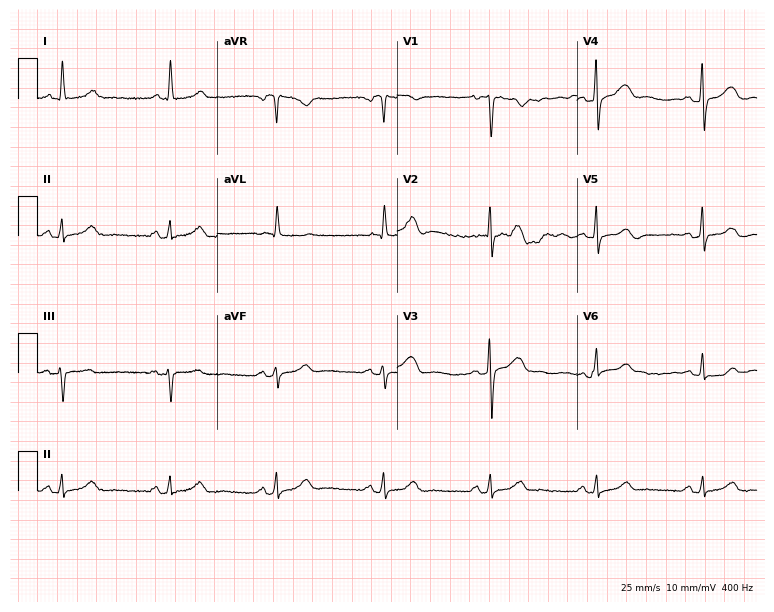
12-lead ECG from a 59-year-old female (7.3-second recording at 400 Hz). No first-degree AV block, right bundle branch block, left bundle branch block, sinus bradycardia, atrial fibrillation or sinus tachycardia recorded for this tracing. Only these six findings were labelled.